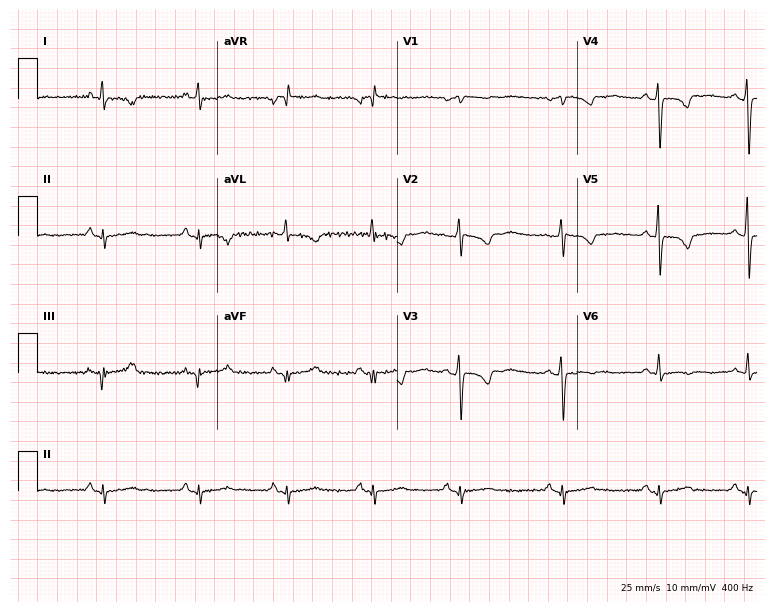
12-lead ECG from a woman, 61 years old. Screened for six findings — first-degree AV block, right bundle branch block, left bundle branch block, sinus bradycardia, atrial fibrillation, sinus tachycardia — none is recorded. Only these six findings were labelled.